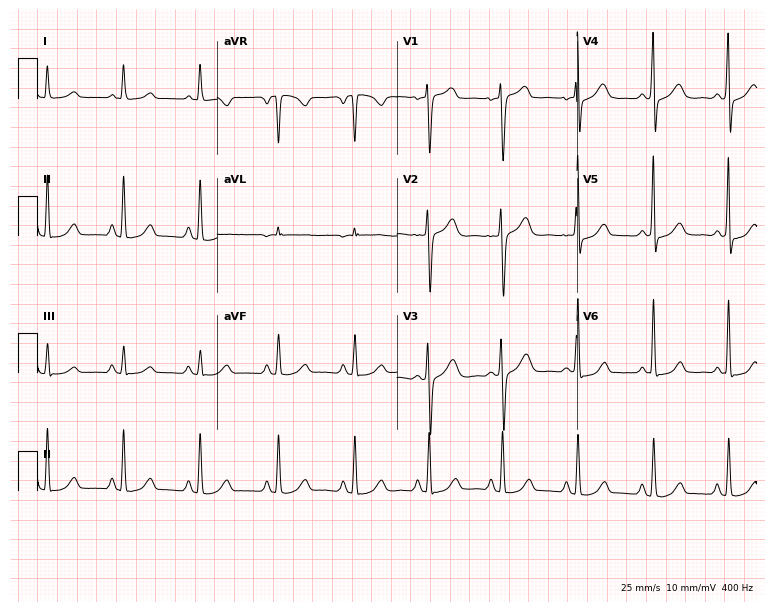
ECG (7.3-second recording at 400 Hz) — a female, 52 years old. Screened for six findings — first-degree AV block, right bundle branch block, left bundle branch block, sinus bradycardia, atrial fibrillation, sinus tachycardia — none is recorded. Findings outside these six are not listed.